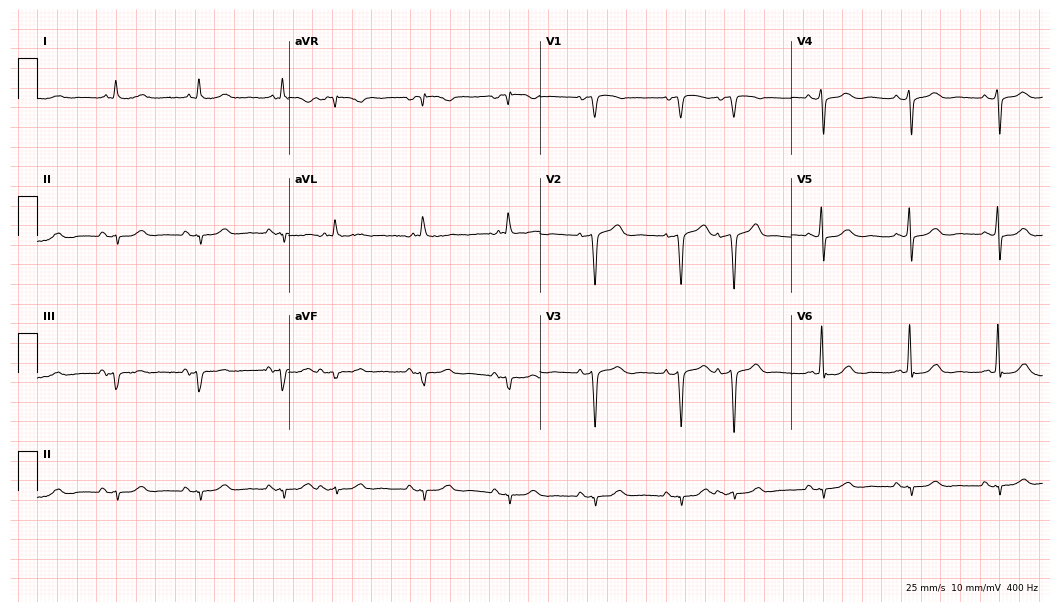
Resting 12-lead electrocardiogram (10.2-second recording at 400 Hz). Patient: a male, 84 years old. None of these six findings is recorded: first-degree AV block, right bundle branch block, left bundle branch block, sinus bradycardia, atrial fibrillation, sinus tachycardia. Other findings, if any, are not listed.